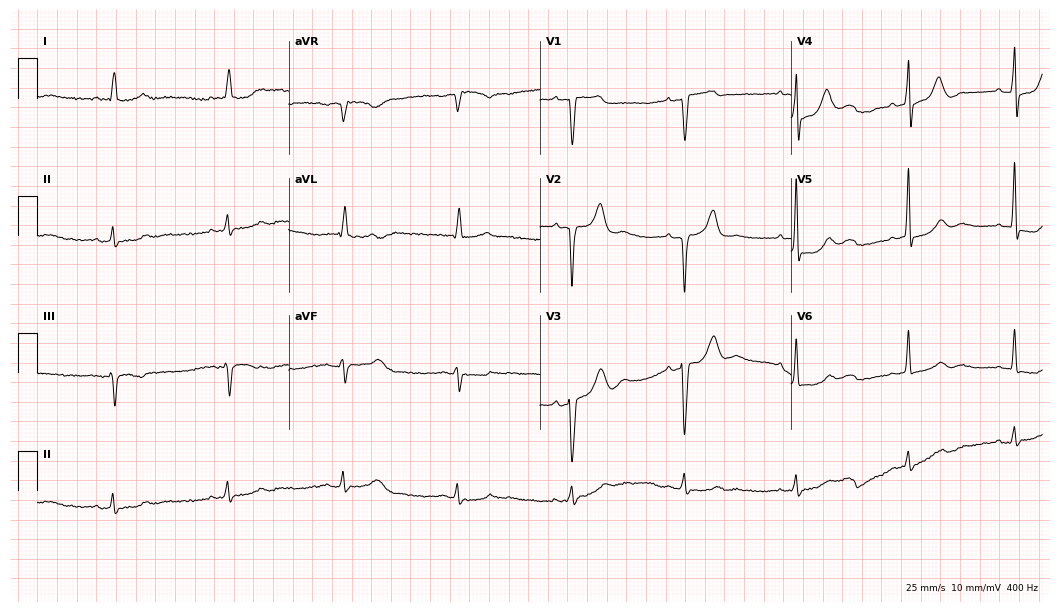
ECG — a 73-year-old male. Screened for six findings — first-degree AV block, right bundle branch block (RBBB), left bundle branch block (LBBB), sinus bradycardia, atrial fibrillation (AF), sinus tachycardia — none is recorded.